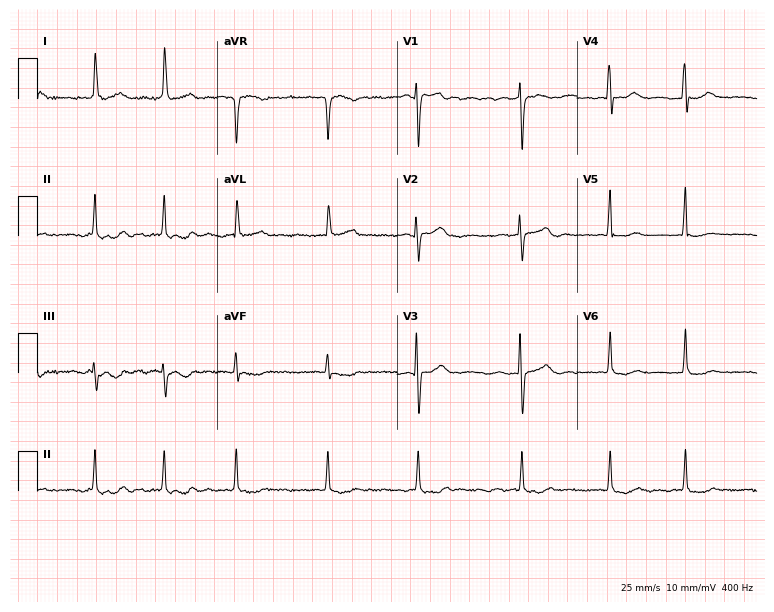
Electrocardiogram, a 74-year-old female. Of the six screened findings (first-degree AV block, right bundle branch block, left bundle branch block, sinus bradycardia, atrial fibrillation, sinus tachycardia), none is recorded.